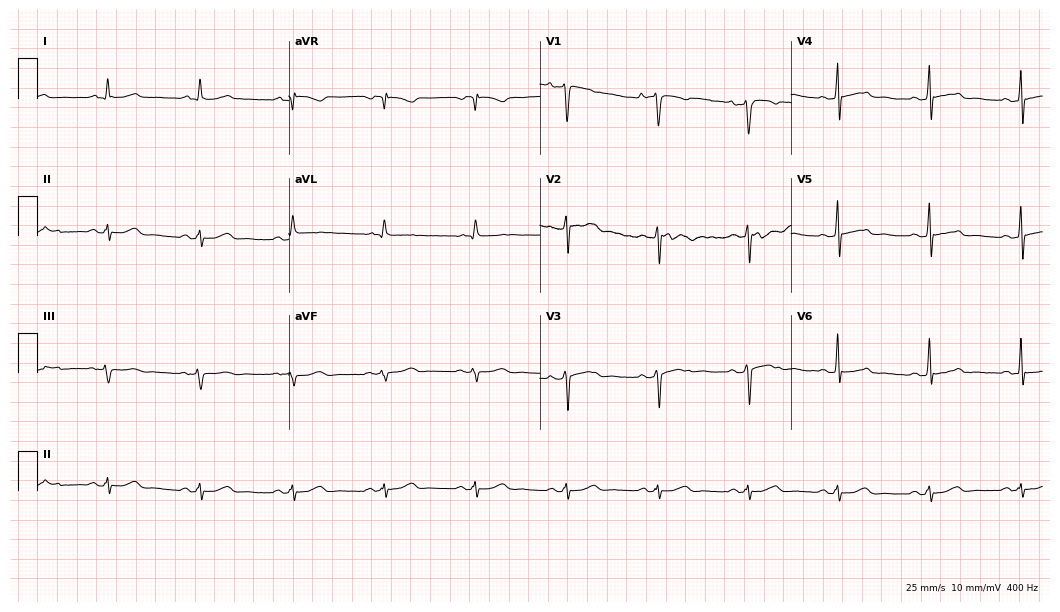
12-lead ECG from a man, 64 years old. Screened for six findings — first-degree AV block, right bundle branch block, left bundle branch block, sinus bradycardia, atrial fibrillation, sinus tachycardia — none is recorded. Findings outside these six are not listed.